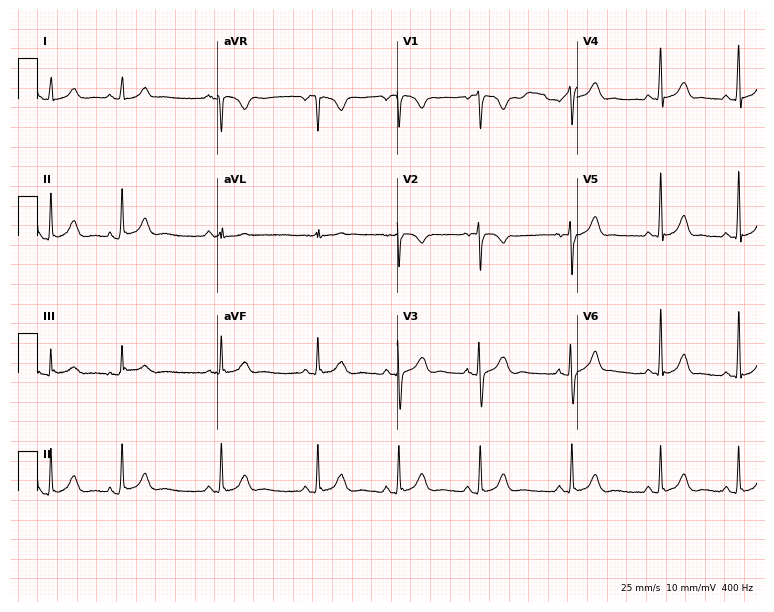
ECG (7.3-second recording at 400 Hz) — a female patient, 17 years old. Screened for six findings — first-degree AV block, right bundle branch block, left bundle branch block, sinus bradycardia, atrial fibrillation, sinus tachycardia — none is recorded. Only these six findings were labelled.